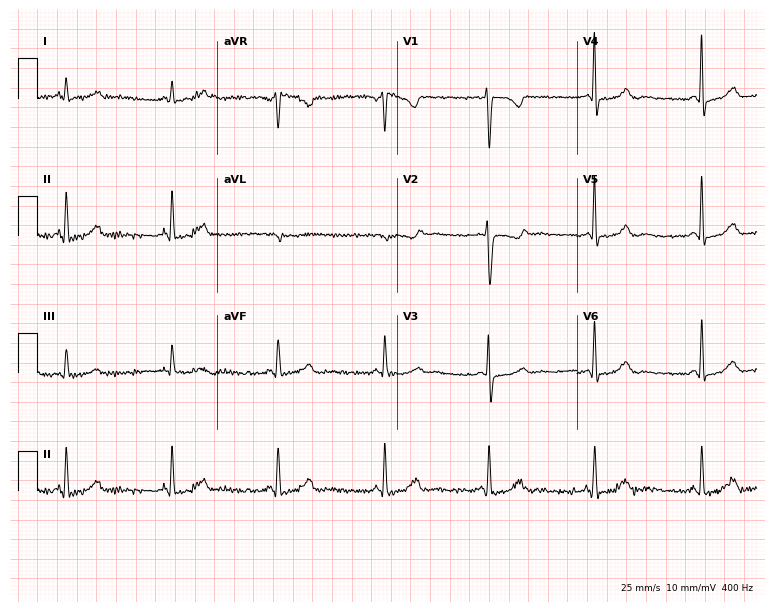
12-lead ECG (7.3-second recording at 400 Hz) from a 45-year-old woman. Screened for six findings — first-degree AV block, right bundle branch block, left bundle branch block, sinus bradycardia, atrial fibrillation, sinus tachycardia — none is recorded.